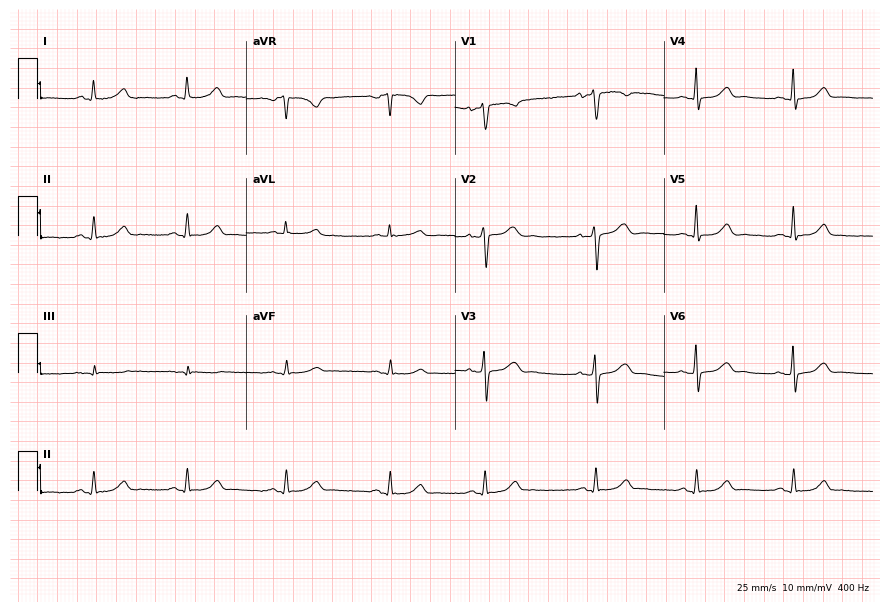
12-lead ECG from a female patient, 41 years old (8.5-second recording at 400 Hz). Recorded interpretation: within normal limits.